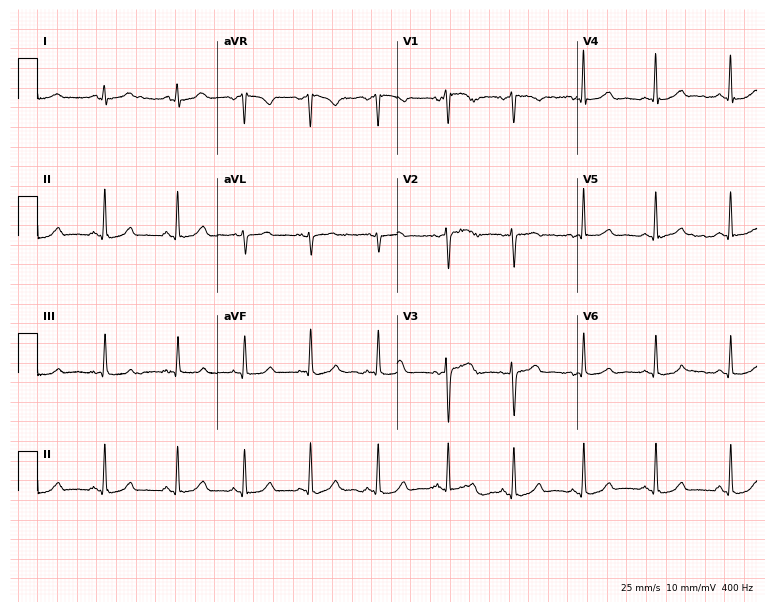
12-lead ECG from a 34-year-old female. Recorded interpretation: within normal limits.